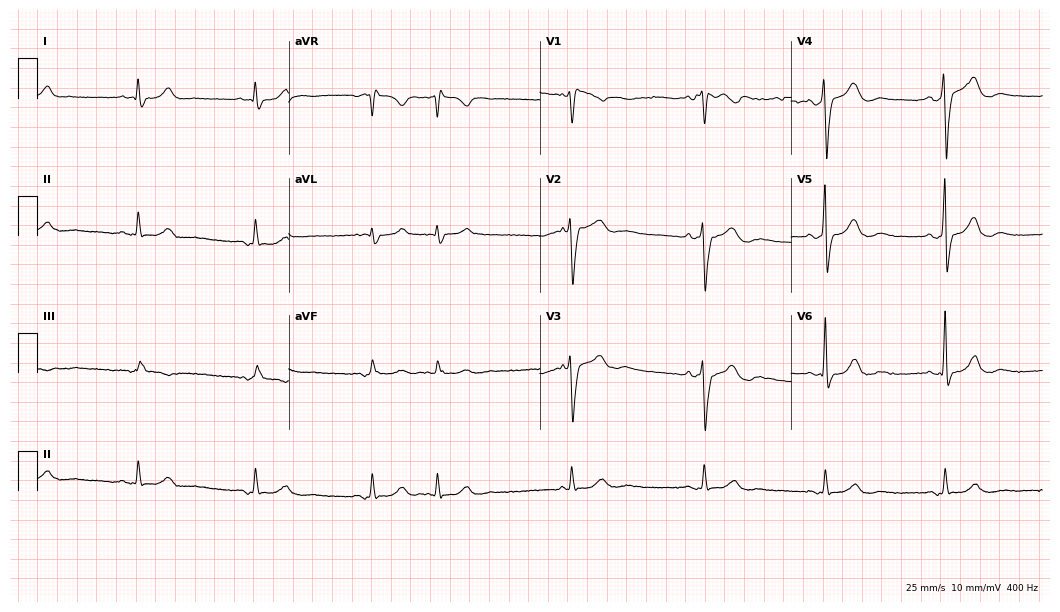
12-lead ECG from a 79-year-old man. Shows sinus bradycardia (a sinus rate of 50 beats per minute or less), atrial fibrillation.